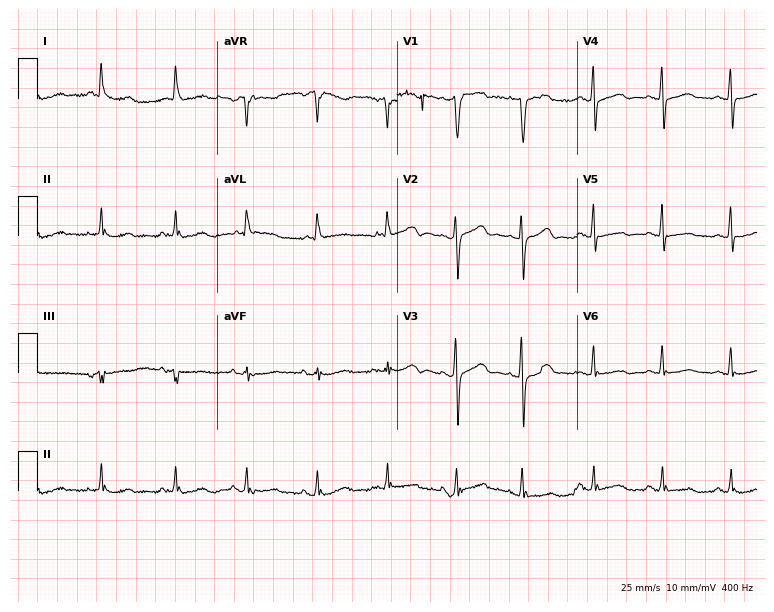
12-lead ECG from a female, 55 years old. Screened for six findings — first-degree AV block, right bundle branch block, left bundle branch block, sinus bradycardia, atrial fibrillation, sinus tachycardia — none is recorded.